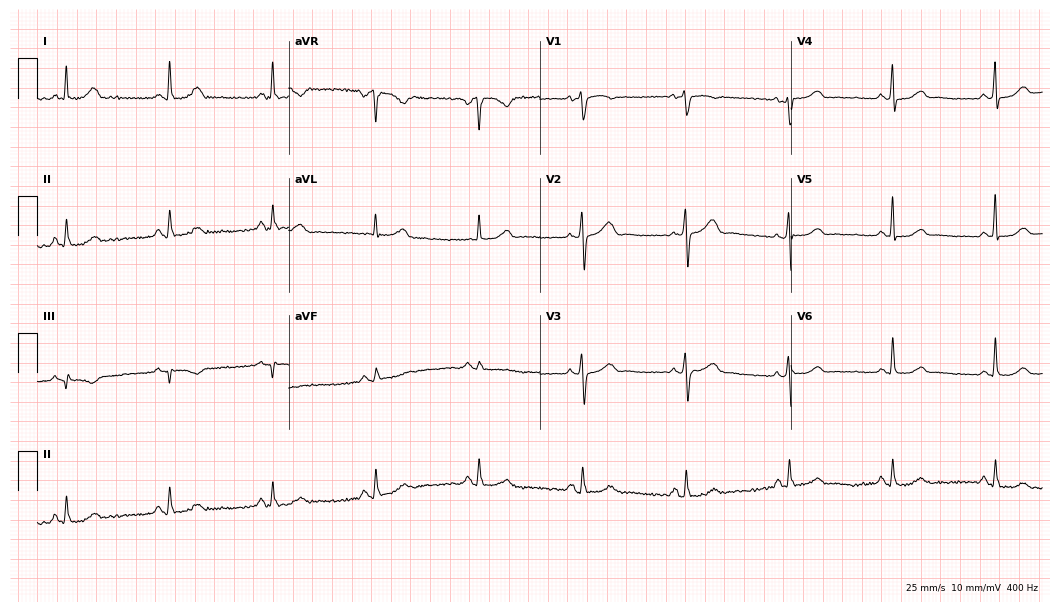
Electrocardiogram (10.2-second recording at 400 Hz), a female patient, 68 years old. Overall reading on record: normal ECG.